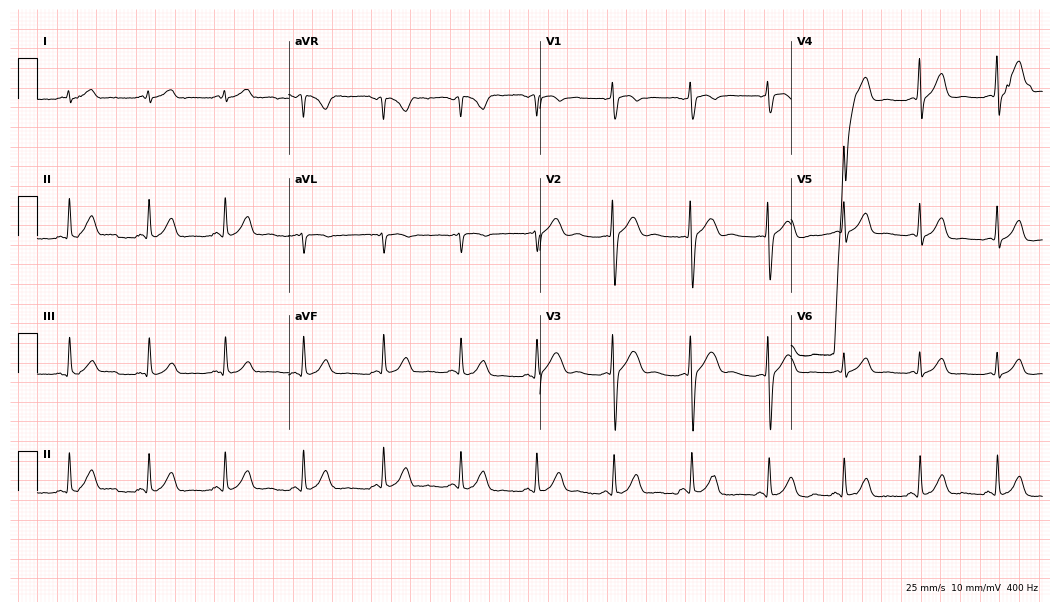
ECG (10.2-second recording at 400 Hz) — a woman, 48 years old. Labelled as a normal ECG.